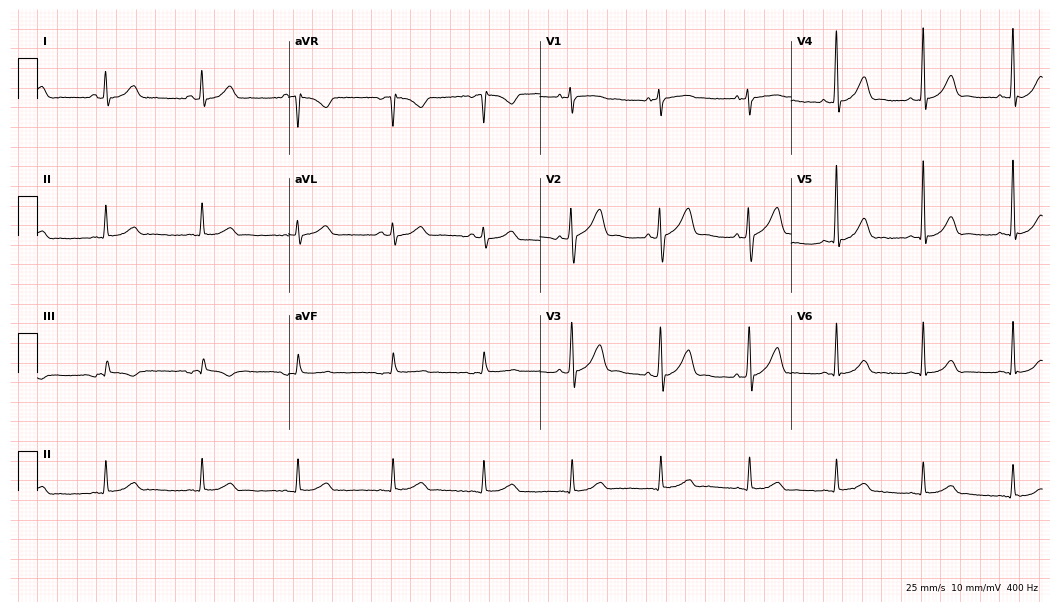
Resting 12-lead electrocardiogram. Patient: a 43-year-old man. Read as a normal ECG.